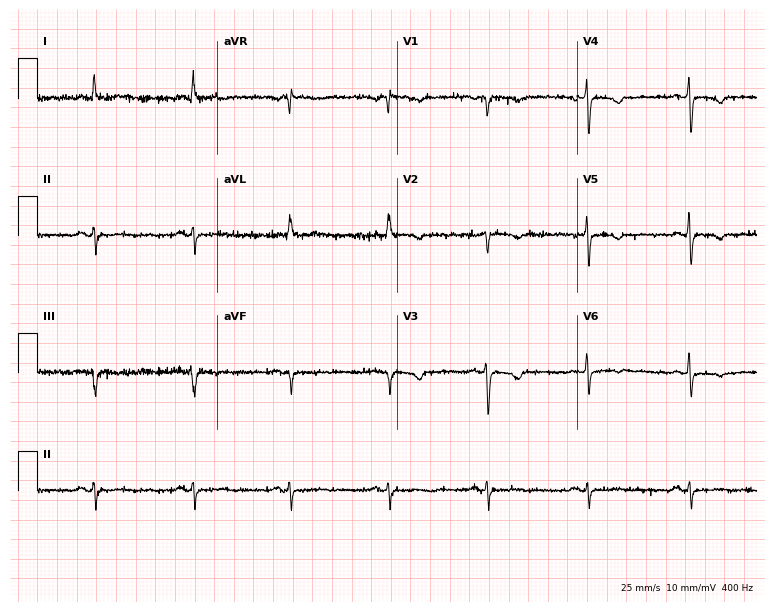
12-lead ECG from a 60-year-old woman. Screened for six findings — first-degree AV block, right bundle branch block, left bundle branch block, sinus bradycardia, atrial fibrillation, sinus tachycardia — none is recorded. Only these six findings were labelled.